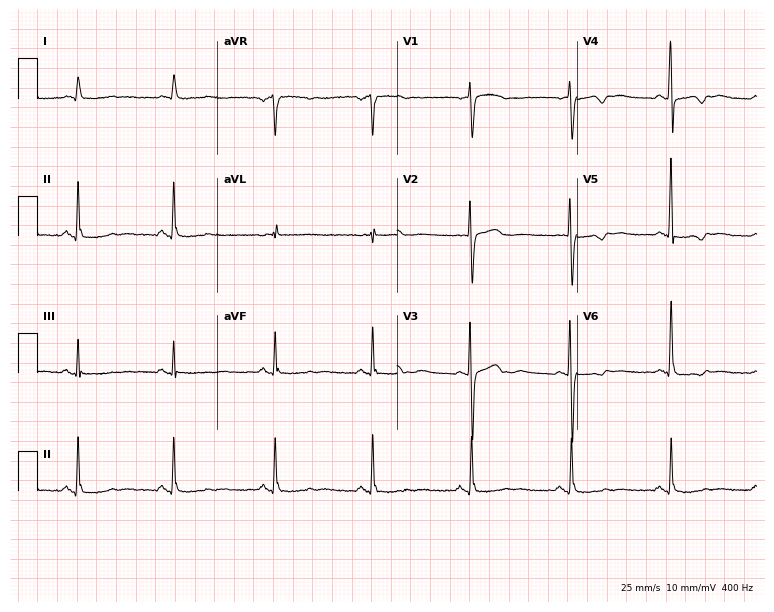
Resting 12-lead electrocardiogram. Patient: a 76-year-old male. None of these six findings is recorded: first-degree AV block, right bundle branch block, left bundle branch block, sinus bradycardia, atrial fibrillation, sinus tachycardia. Other findings, if any, are not listed.